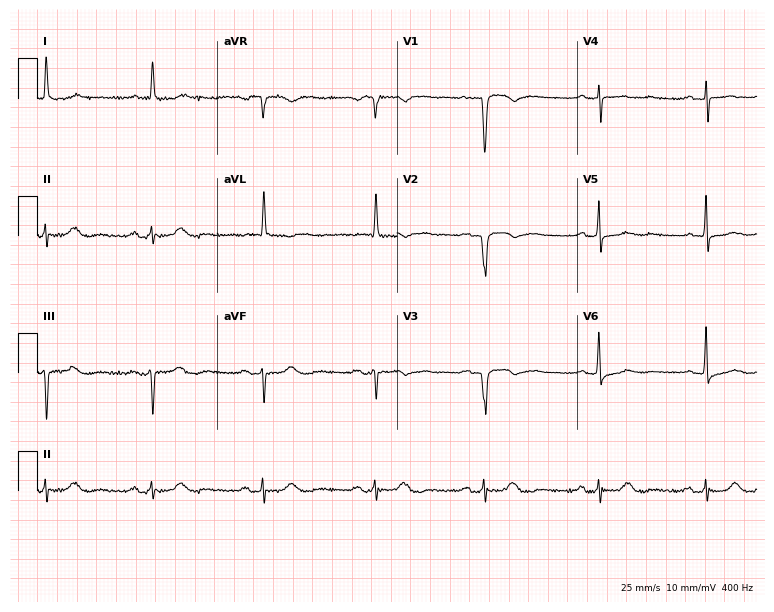
12-lead ECG from a female patient, 75 years old. Findings include first-degree AV block.